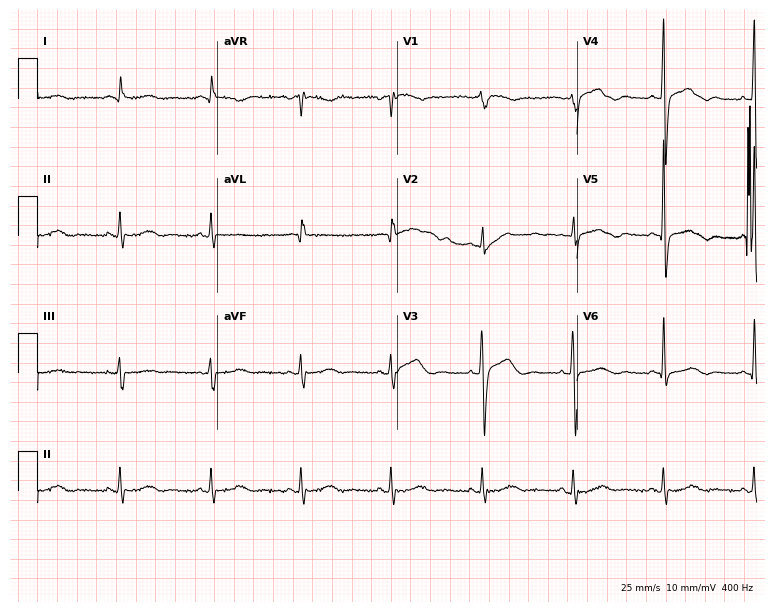
Electrocardiogram (7.3-second recording at 400 Hz), a male, 80 years old. Overall reading on record: normal ECG.